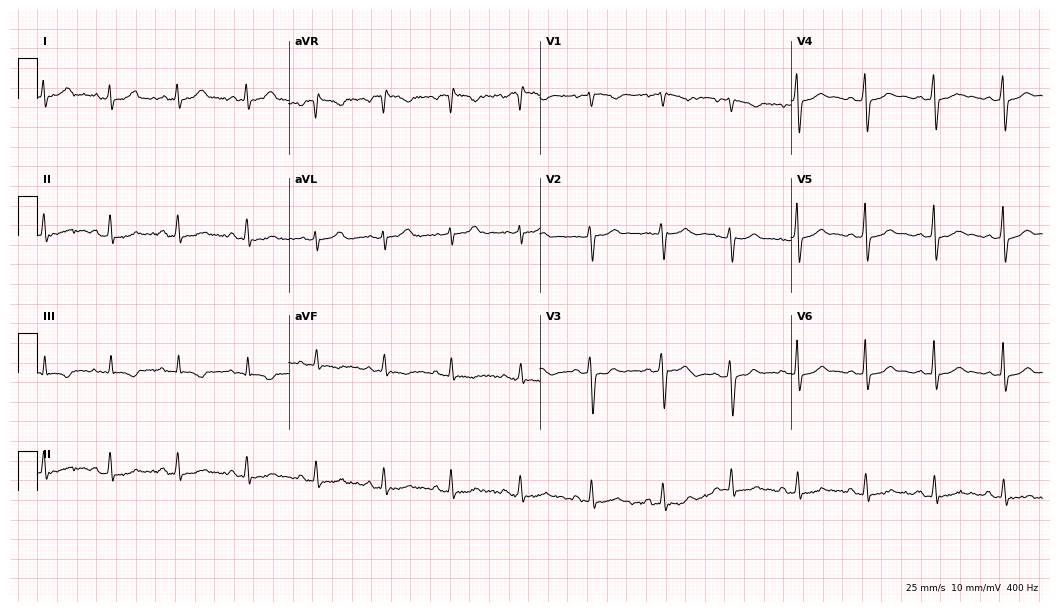
Electrocardiogram (10.2-second recording at 400 Hz), a 23-year-old female patient. Overall reading on record: normal ECG.